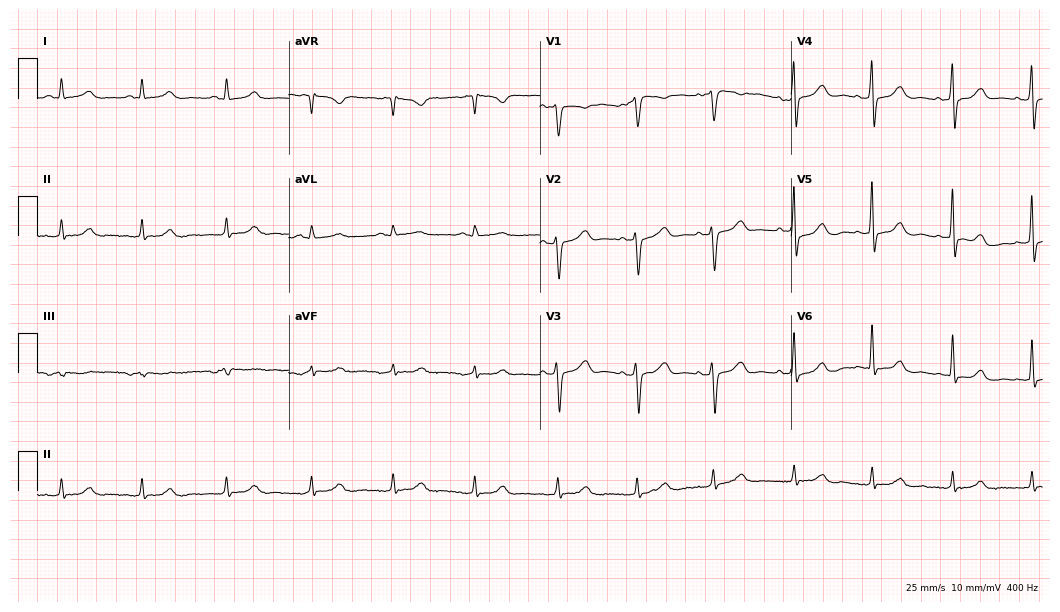
12-lead ECG from a 59-year-old male patient. Recorded interpretation: within normal limits.